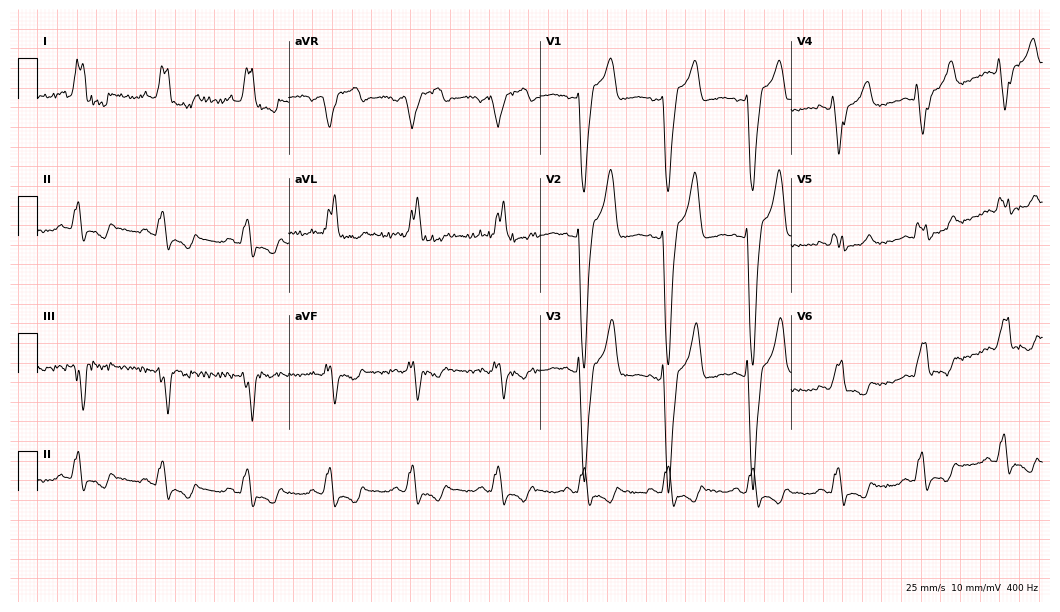
Standard 12-lead ECG recorded from a woman, 61 years old (10.2-second recording at 400 Hz). The tracing shows left bundle branch block (LBBB).